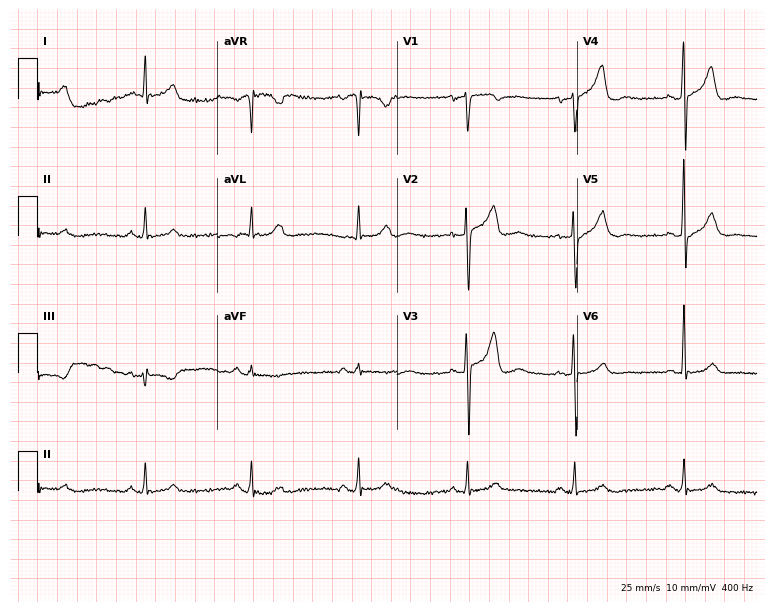
Resting 12-lead electrocardiogram. Patient: a man, 61 years old. None of these six findings is recorded: first-degree AV block, right bundle branch block (RBBB), left bundle branch block (LBBB), sinus bradycardia, atrial fibrillation (AF), sinus tachycardia. Findings outside these six are not listed.